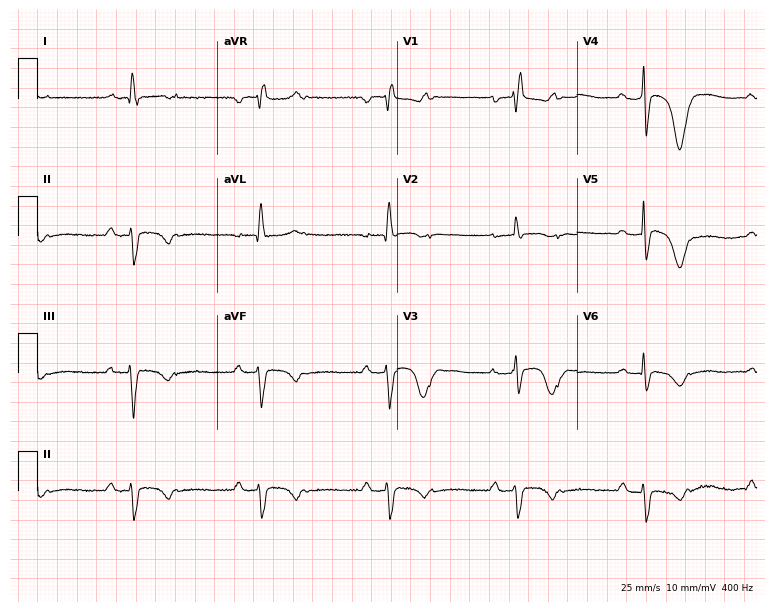
12-lead ECG (7.3-second recording at 400 Hz) from a woman, 41 years old. Findings include right bundle branch block, sinus bradycardia (a sinus rate of 50 beats per minute or less).